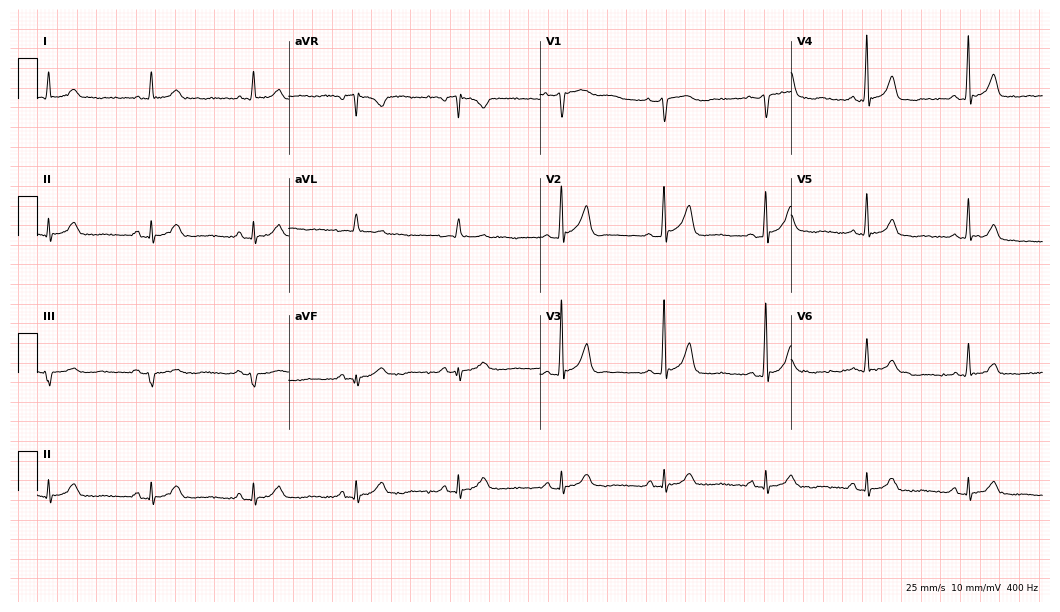
ECG (10.2-second recording at 400 Hz) — a male patient, 37 years old. Labelled as a normal ECG.